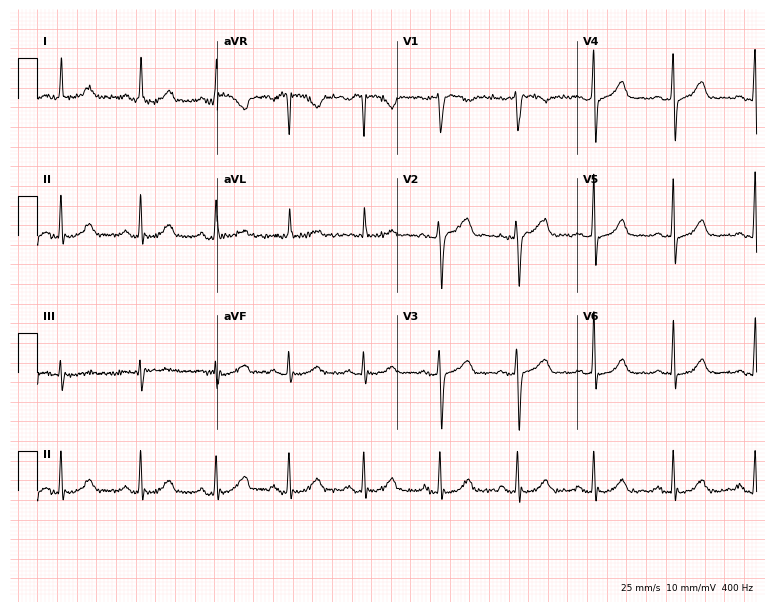
Electrocardiogram (7.3-second recording at 400 Hz), a 55-year-old woman. Overall reading on record: normal ECG.